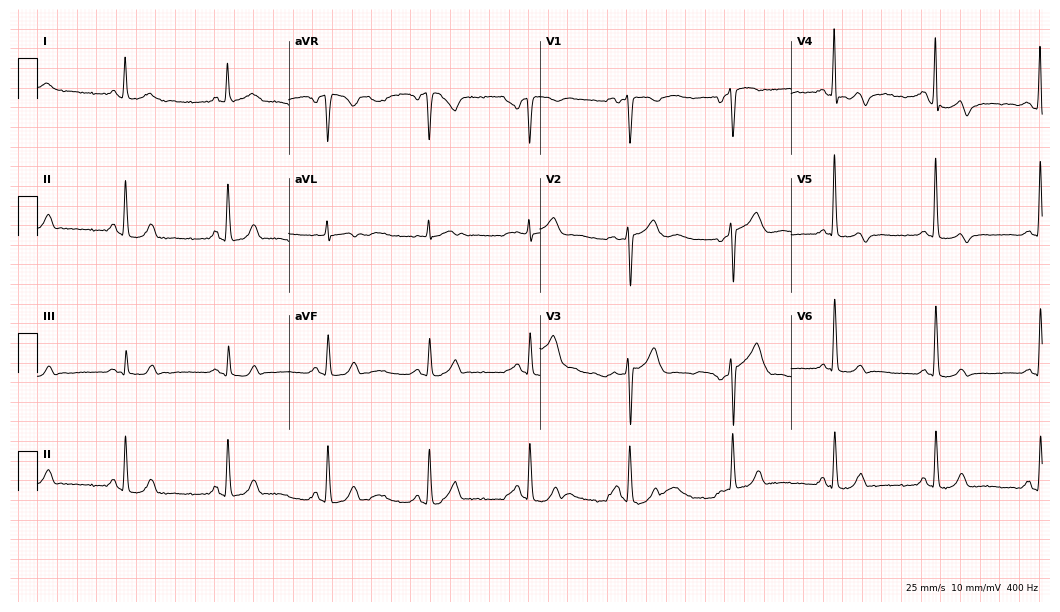
ECG — a 59-year-old woman. Screened for six findings — first-degree AV block, right bundle branch block, left bundle branch block, sinus bradycardia, atrial fibrillation, sinus tachycardia — none is recorded. Other findings, if any, are not listed.